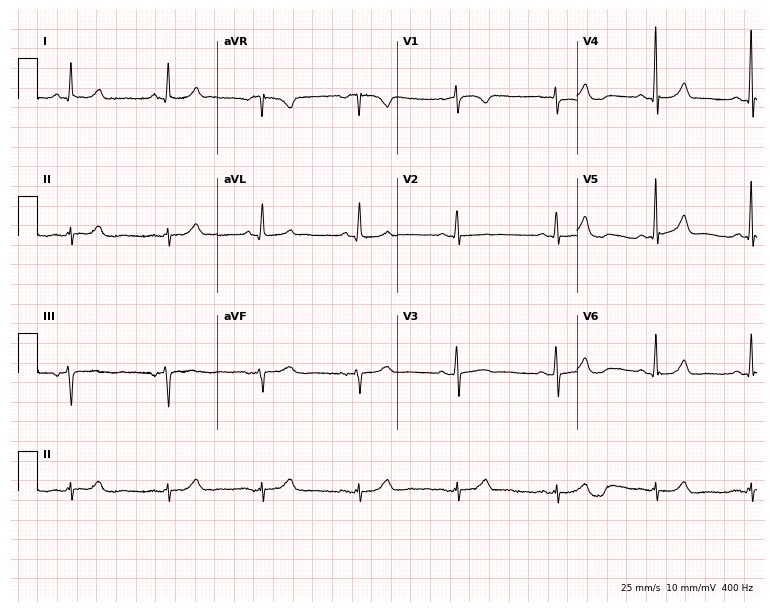
Resting 12-lead electrocardiogram. Patient: a 77-year-old woman. None of these six findings is recorded: first-degree AV block, right bundle branch block, left bundle branch block, sinus bradycardia, atrial fibrillation, sinus tachycardia. Other findings, if any, are not listed.